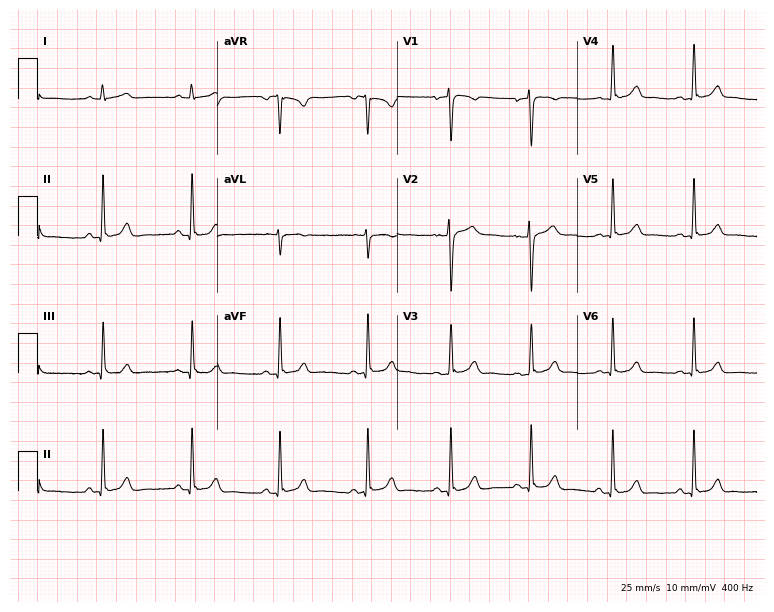
12-lead ECG (7.3-second recording at 400 Hz) from a male, 57 years old. Labelled as a normal ECG.